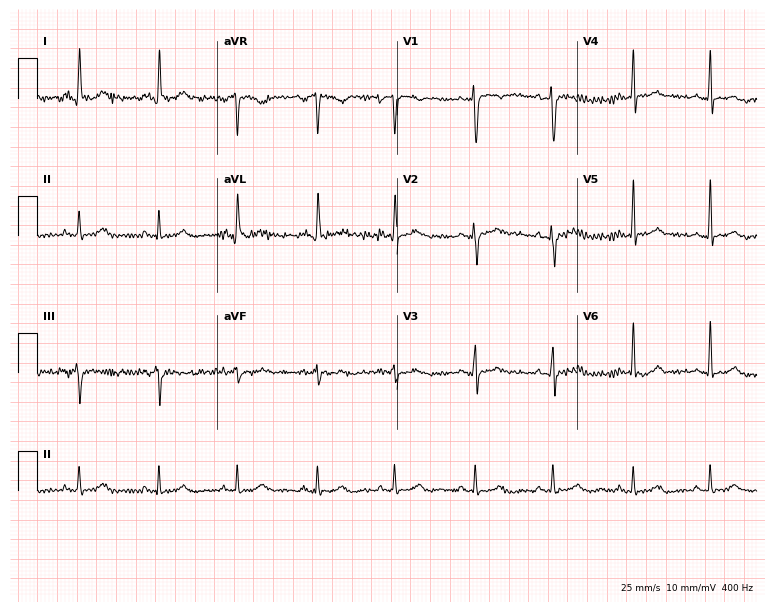
ECG — a 61-year-old woman. Screened for six findings — first-degree AV block, right bundle branch block (RBBB), left bundle branch block (LBBB), sinus bradycardia, atrial fibrillation (AF), sinus tachycardia — none is recorded.